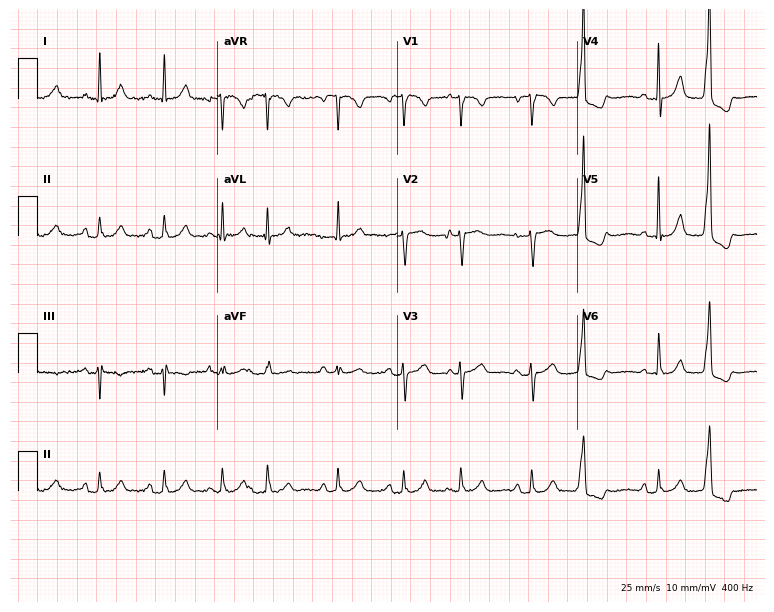
Resting 12-lead electrocardiogram (7.3-second recording at 400 Hz). Patient: a woman, 79 years old. None of these six findings is recorded: first-degree AV block, right bundle branch block, left bundle branch block, sinus bradycardia, atrial fibrillation, sinus tachycardia. Other findings, if any, are not listed.